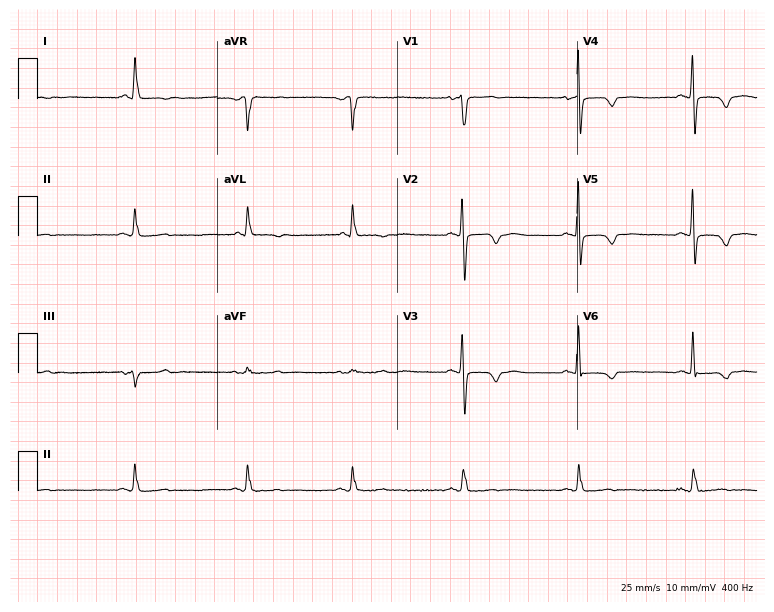
12-lead ECG from a male, 75 years old. Screened for six findings — first-degree AV block, right bundle branch block, left bundle branch block, sinus bradycardia, atrial fibrillation, sinus tachycardia — none is recorded. Other findings, if any, are not listed.